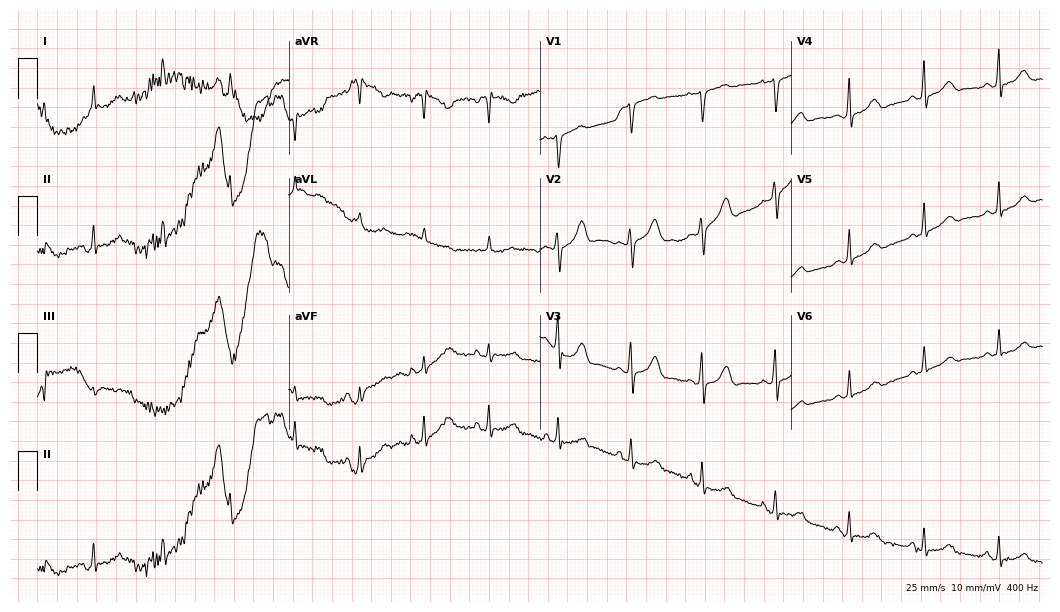
Standard 12-lead ECG recorded from a 37-year-old woman. Read as a normal ECG.